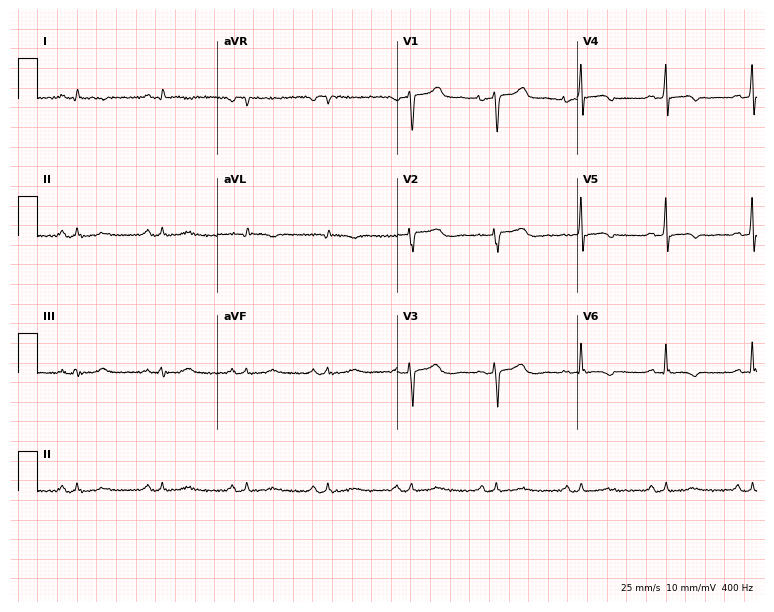
Standard 12-lead ECG recorded from a female patient, 56 years old. None of these six findings is recorded: first-degree AV block, right bundle branch block (RBBB), left bundle branch block (LBBB), sinus bradycardia, atrial fibrillation (AF), sinus tachycardia. Only these six findings were labelled.